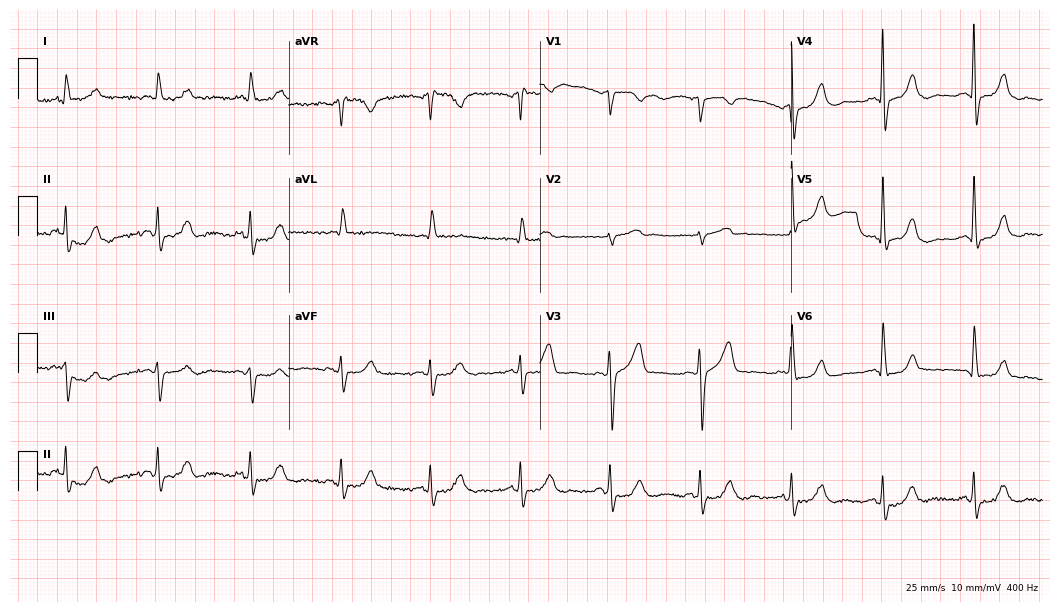
Electrocardiogram, a male patient, 77 years old. Overall reading on record: normal ECG.